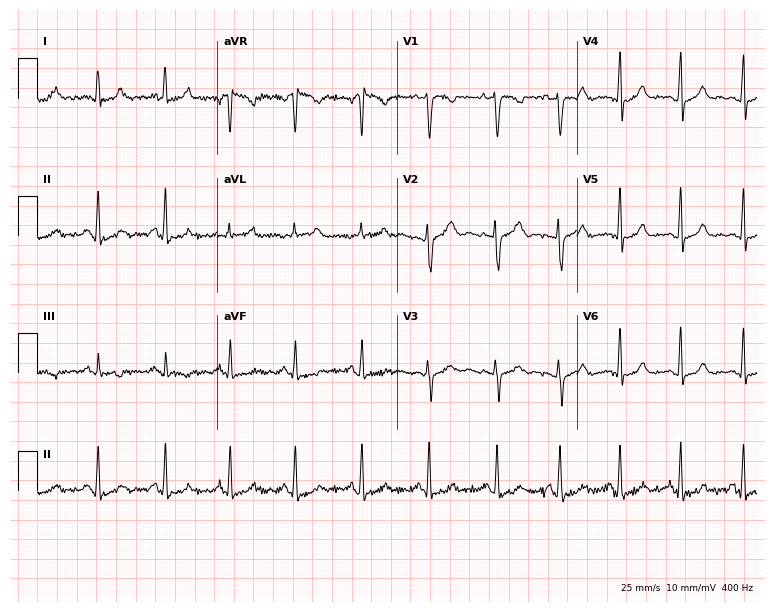
12-lead ECG from a female patient, 18 years old (7.3-second recording at 400 Hz). Recorded interpretation: within normal limits.